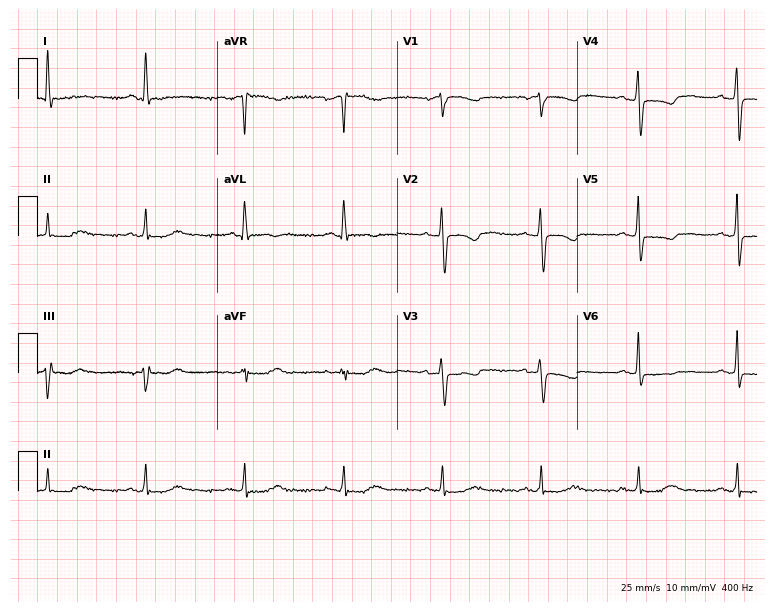
Resting 12-lead electrocardiogram (7.3-second recording at 400 Hz). Patient: a 72-year-old female. None of these six findings is recorded: first-degree AV block, right bundle branch block, left bundle branch block, sinus bradycardia, atrial fibrillation, sinus tachycardia.